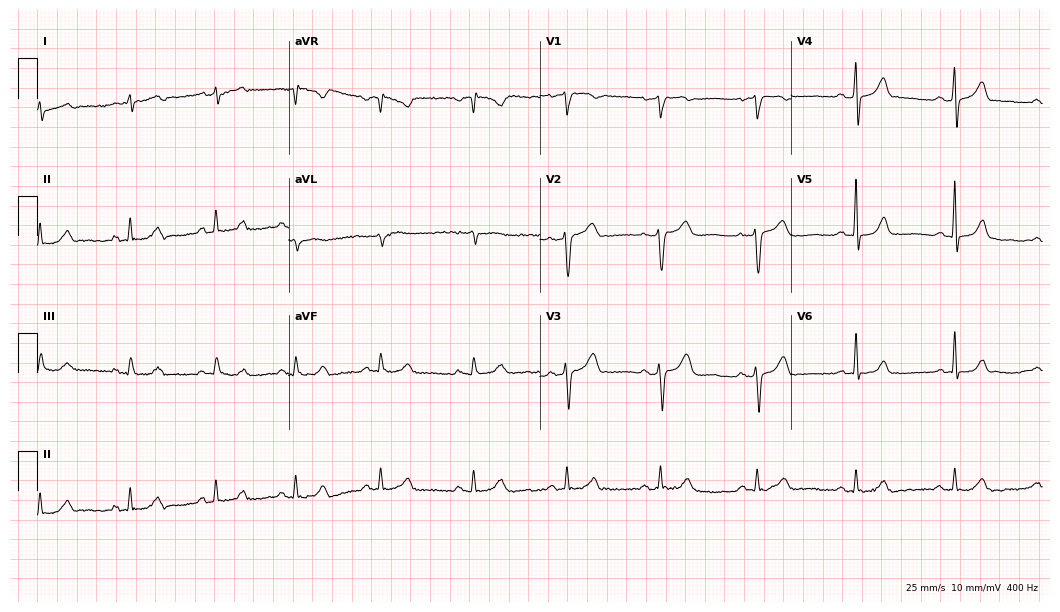
Standard 12-lead ECG recorded from a 51-year-old woman (10.2-second recording at 400 Hz). Read as a normal ECG.